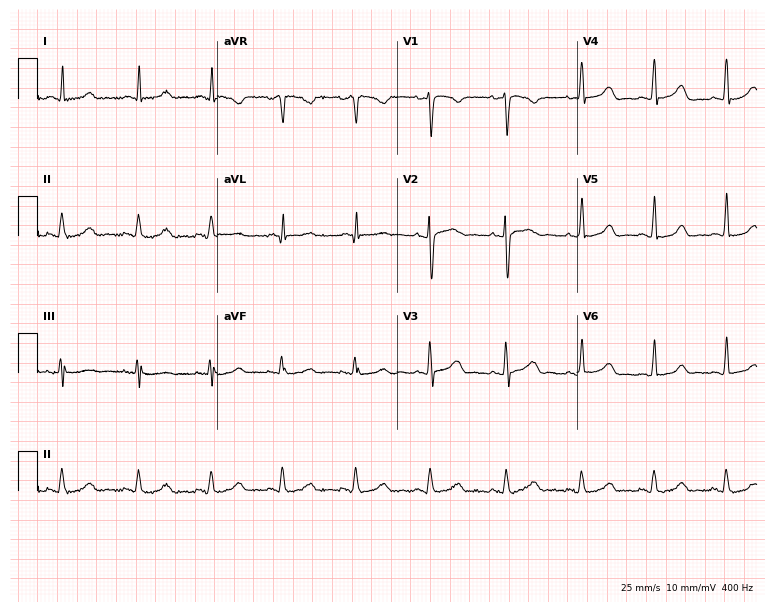
Resting 12-lead electrocardiogram. Patient: a female, 57 years old. None of these six findings is recorded: first-degree AV block, right bundle branch block, left bundle branch block, sinus bradycardia, atrial fibrillation, sinus tachycardia.